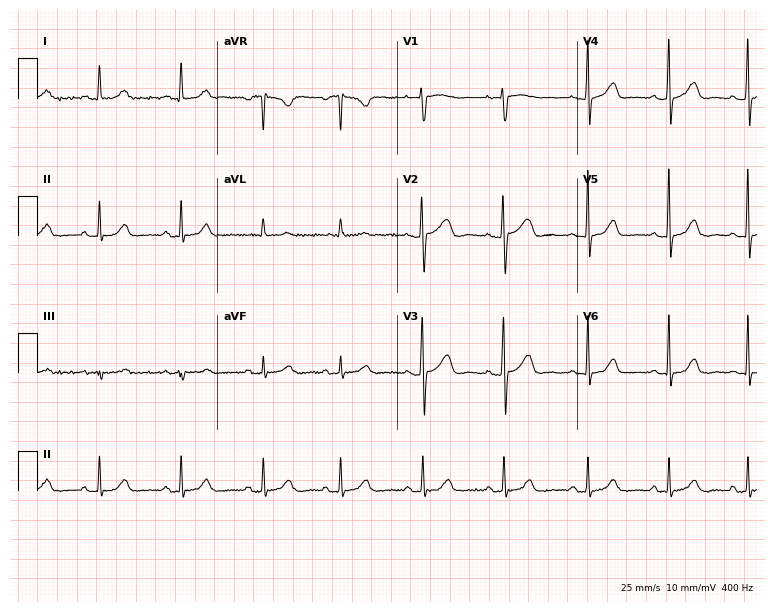
12-lead ECG from a 34-year-old female patient. Recorded interpretation: within normal limits.